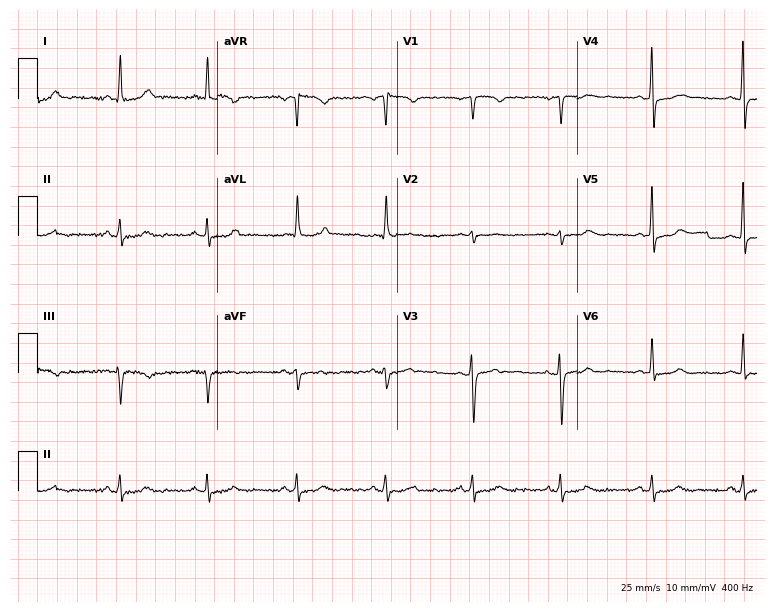
Standard 12-lead ECG recorded from a 48-year-old woman (7.3-second recording at 400 Hz). None of these six findings is recorded: first-degree AV block, right bundle branch block, left bundle branch block, sinus bradycardia, atrial fibrillation, sinus tachycardia. Findings outside these six are not listed.